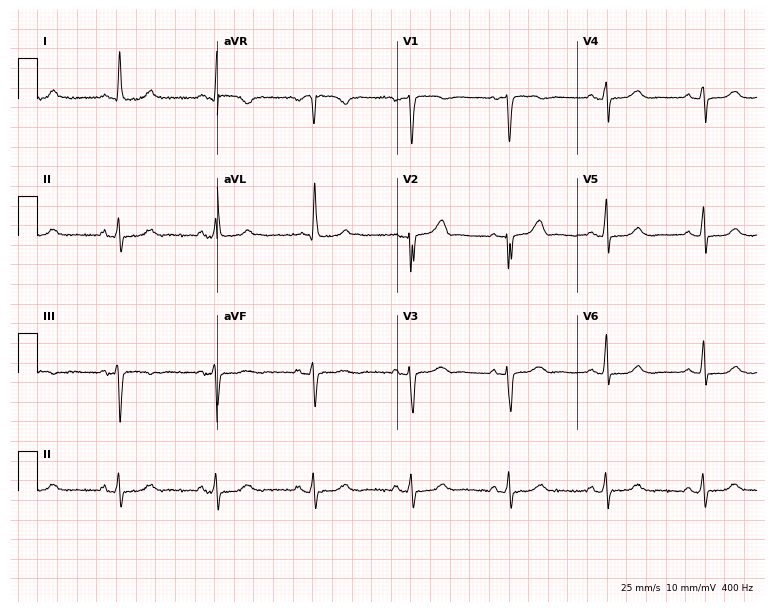
12-lead ECG from a female, 77 years old. Screened for six findings — first-degree AV block, right bundle branch block, left bundle branch block, sinus bradycardia, atrial fibrillation, sinus tachycardia — none is recorded.